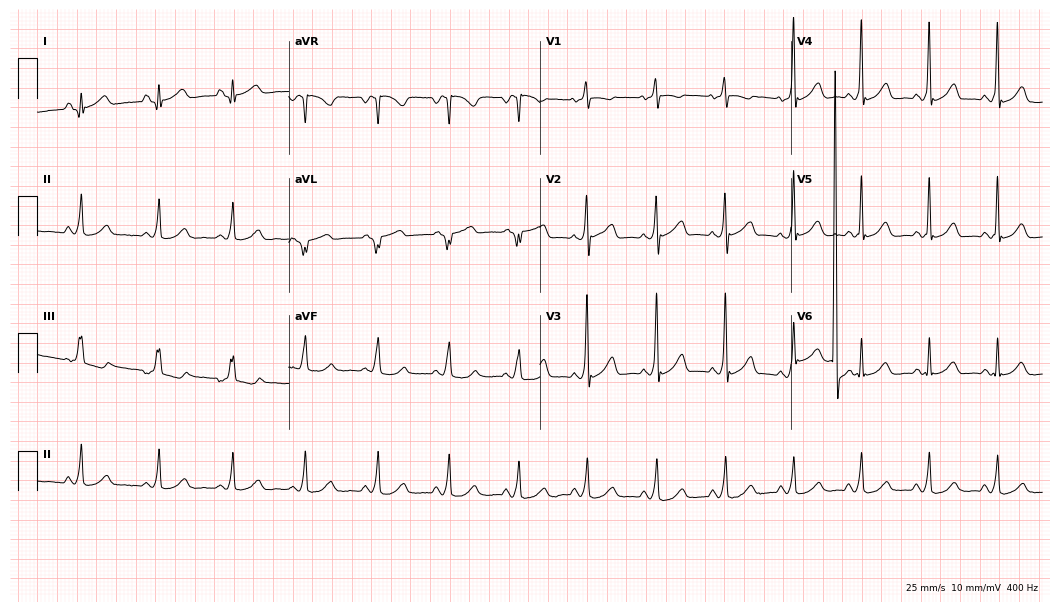
12-lead ECG (10.2-second recording at 400 Hz) from a woman, 57 years old. Screened for six findings — first-degree AV block, right bundle branch block, left bundle branch block, sinus bradycardia, atrial fibrillation, sinus tachycardia — none is recorded. Only these six findings were labelled.